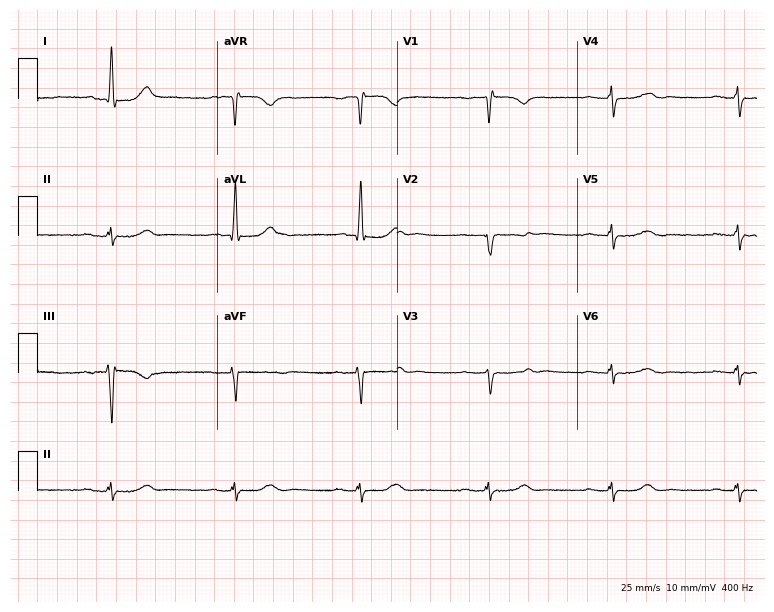
Standard 12-lead ECG recorded from a female patient, 78 years old. The tracing shows sinus bradycardia (a sinus rate of 50 beats per minute or less).